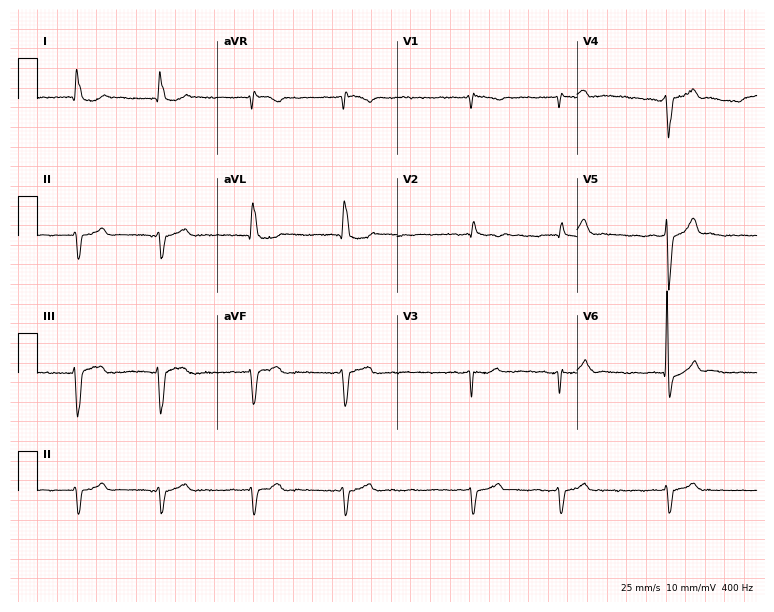
ECG — a male patient, 78 years old. Screened for six findings — first-degree AV block, right bundle branch block, left bundle branch block, sinus bradycardia, atrial fibrillation, sinus tachycardia — none is recorded. Other findings, if any, are not listed.